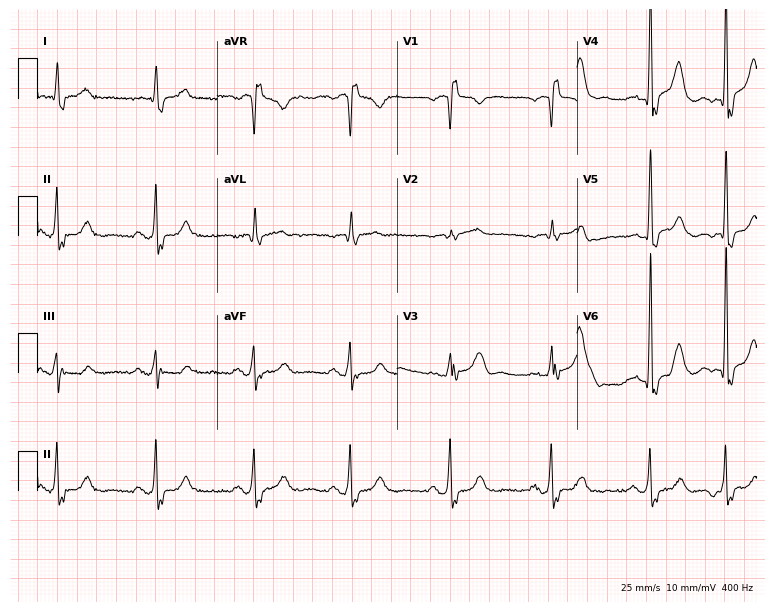
12-lead ECG from a male patient, 73 years old. Shows right bundle branch block (RBBB).